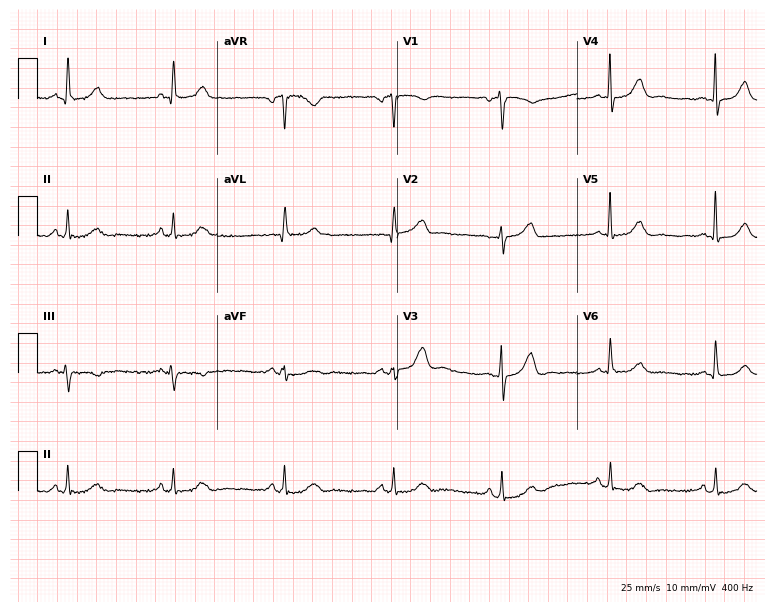
ECG (7.3-second recording at 400 Hz) — a female, 59 years old. Labelled as a normal ECG.